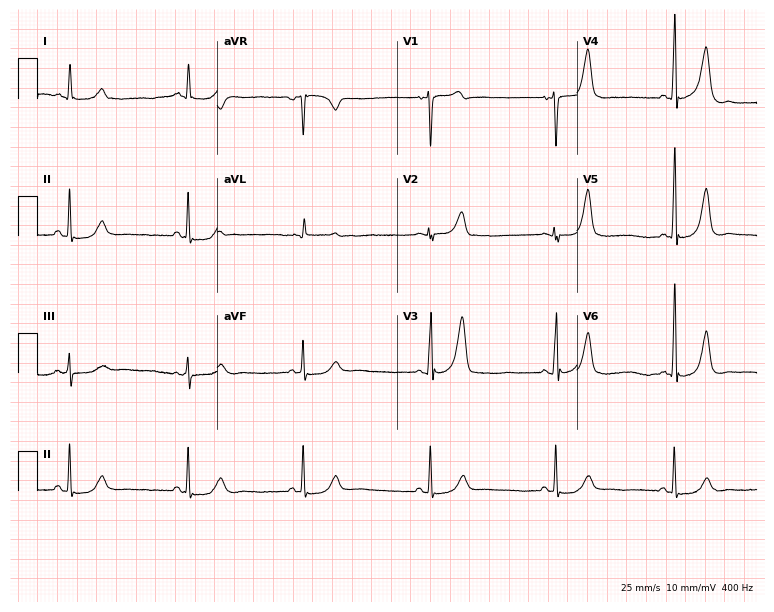
12-lead ECG from a 49-year-old male. Findings include sinus bradycardia (a sinus rate of 50 beats per minute or less).